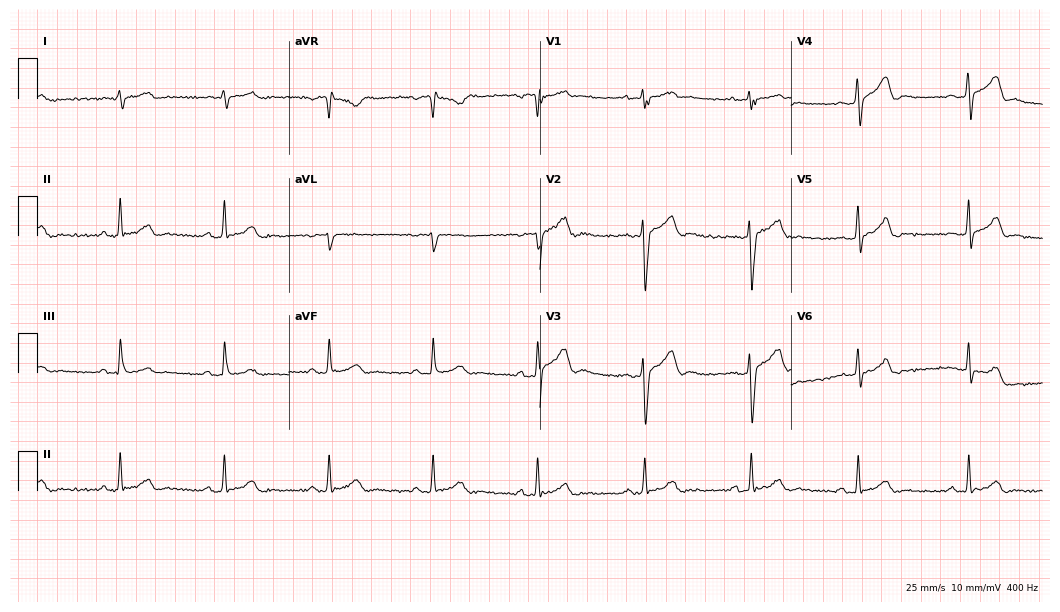
12-lead ECG from a male patient, 28 years old. Labelled as a normal ECG.